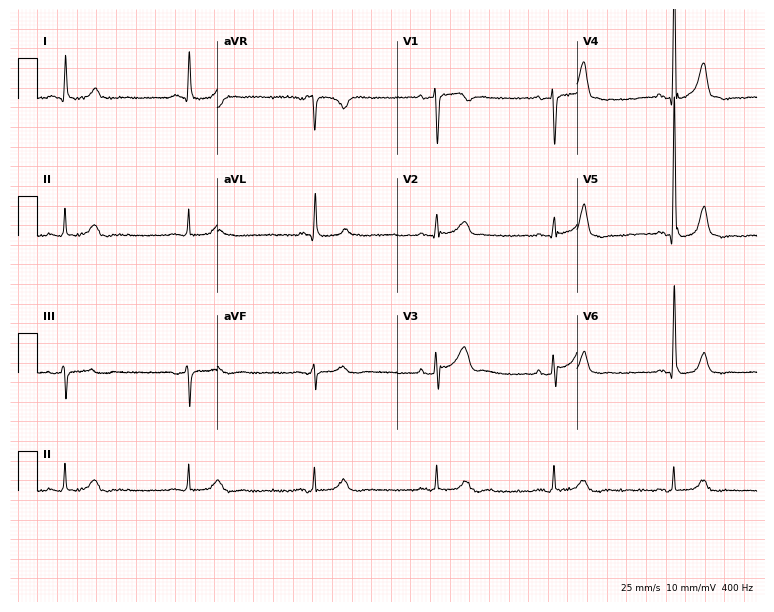
Resting 12-lead electrocardiogram (7.3-second recording at 400 Hz). Patient: a 62-year-old male. The tracing shows sinus bradycardia (a sinus rate of 50 beats per minute or less).